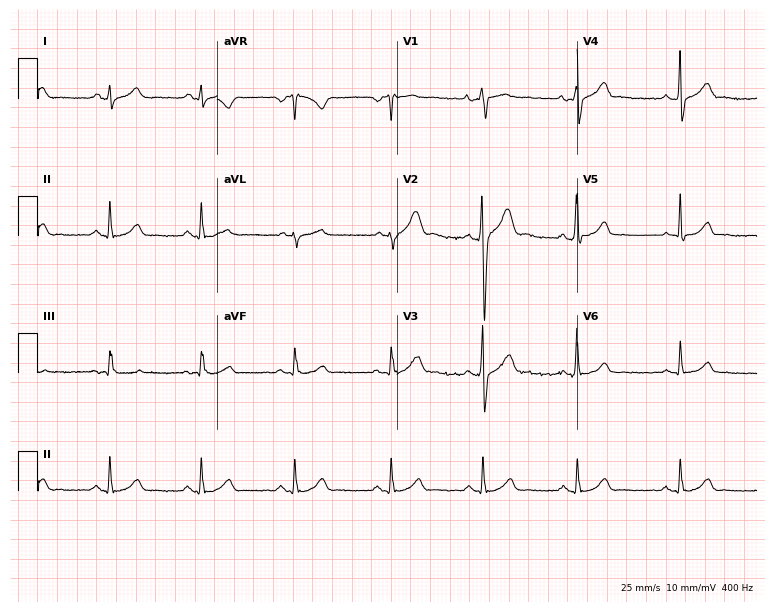
Resting 12-lead electrocardiogram (7.3-second recording at 400 Hz). Patient: a male, 23 years old. Read as a normal ECG.